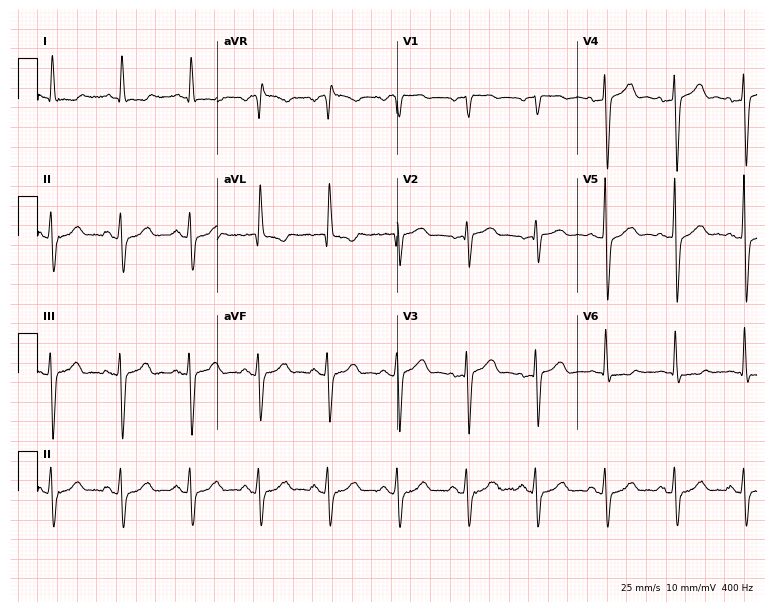
Standard 12-lead ECG recorded from an 82-year-old woman. None of these six findings is recorded: first-degree AV block, right bundle branch block, left bundle branch block, sinus bradycardia, atrial fibrillation, sinus tachycardia.